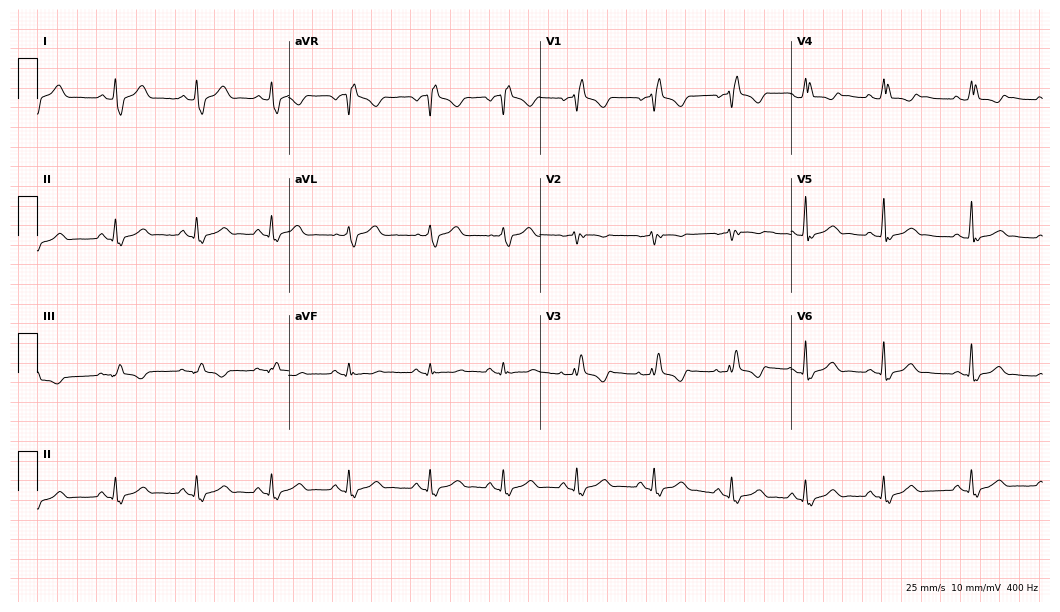
Standard 12-lead ECG recorded from a woman, 37 years old. The tracing shows right bundle branch block.